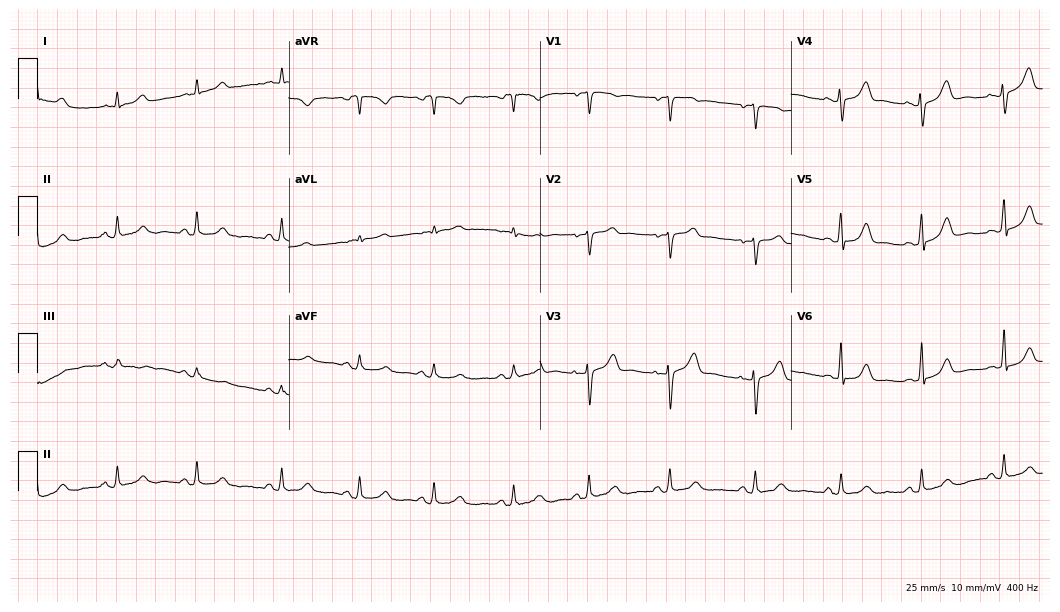
12-lead ECG (10.2-second recording at 400 Hz) from a female, 51 years old. Labelled as a normal ECG.